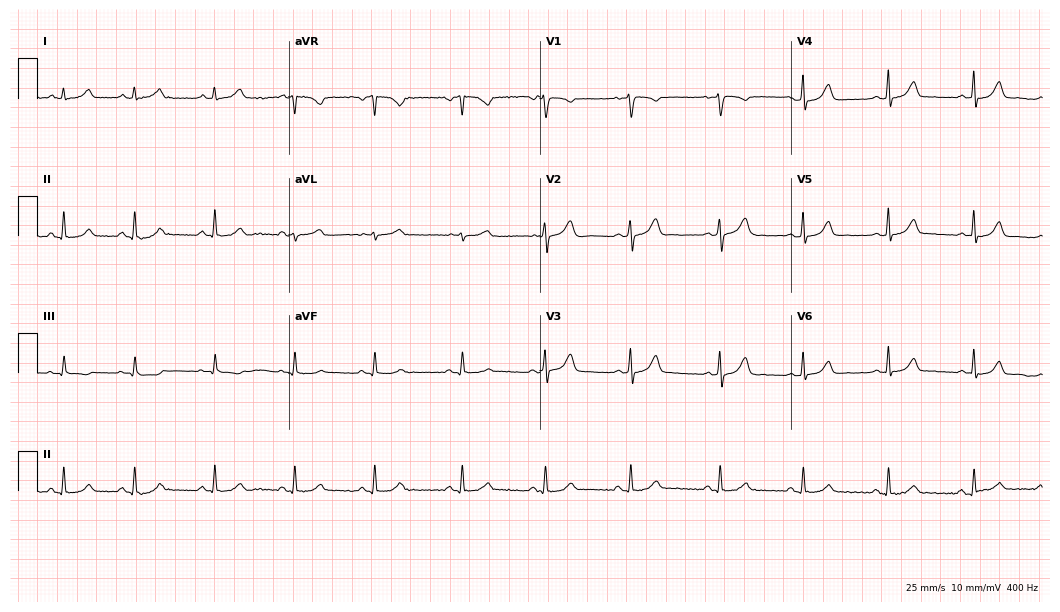
Electrocardiogram (10.2-second recording at 400 Hz), a woman, 42 years old. Overall reading on record: normal ECG.